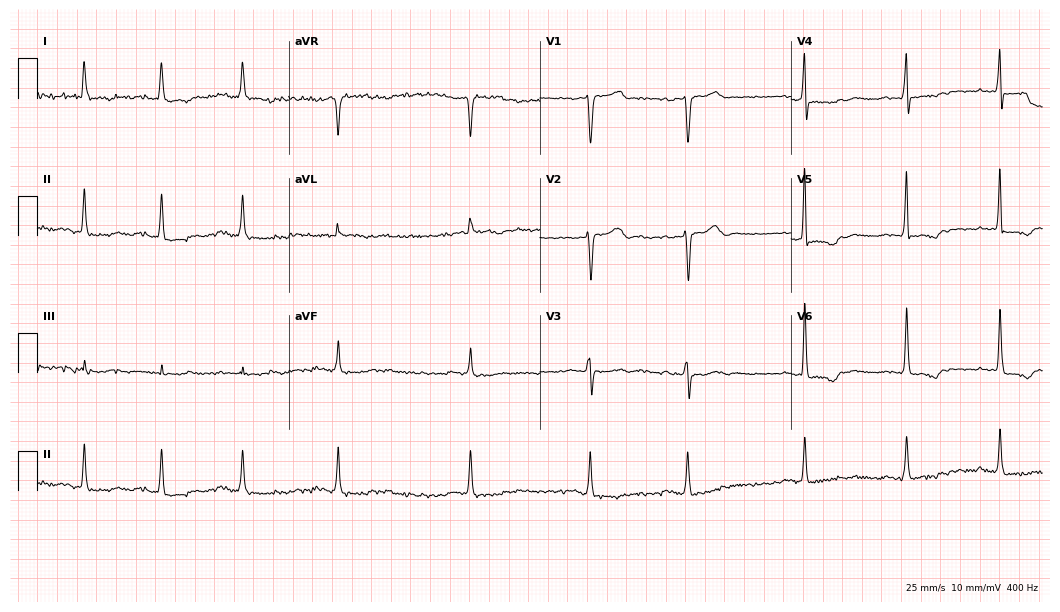
12-lead ECG from a 74-year-old woman. No first-degree AV block, right bundle branch block, left bundle branch block, sinus bradycardia, atrial fibrillation or sinus tachycardia recorded for this tracing.